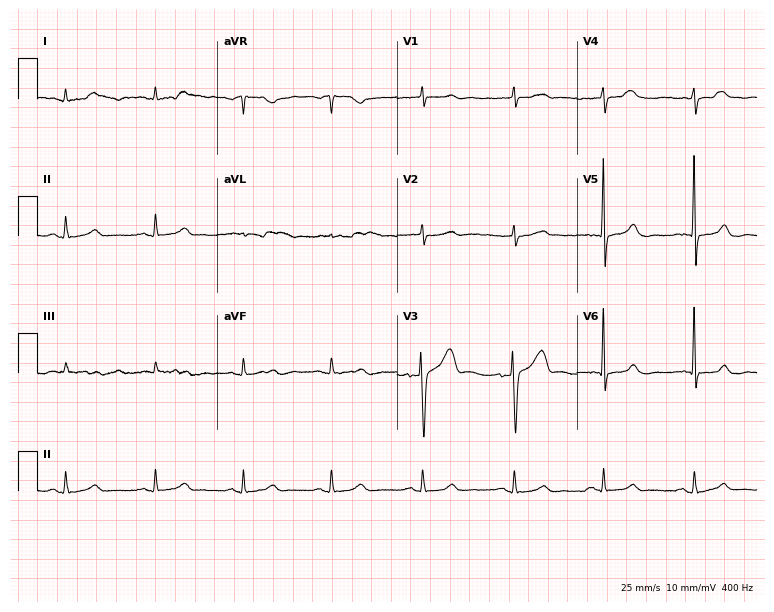
12-lead ECG from a male, 42 years old (7.3-second recording at 400 Hz). No first-degree AV block, right bundle branch block (RBBB), left bundle branch block (LBBB), sinus bradycardia, atrial fibrillation (AF) or sinus tachycardia recorded for this tracing. Findings outside these six are not listed.